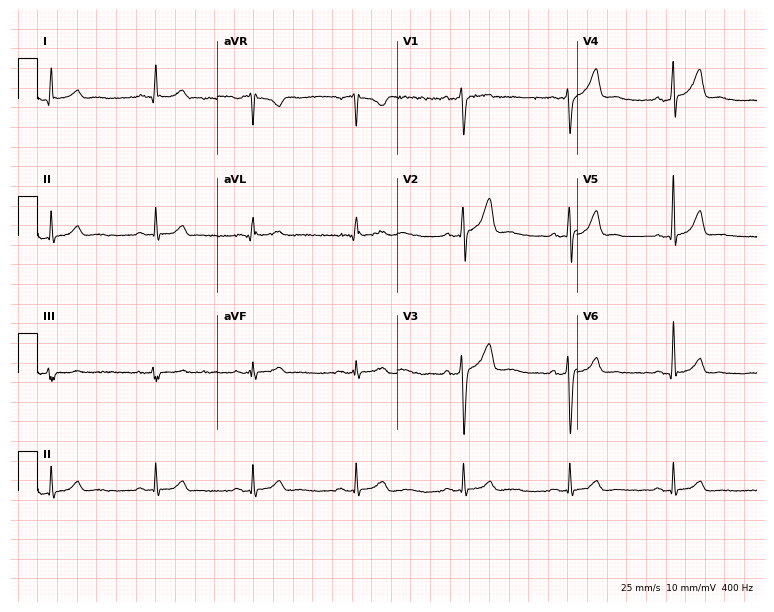
ECG (7.3-second recording at 400 Hz) — a male, 27 years old. Labelled as a normal ECG.